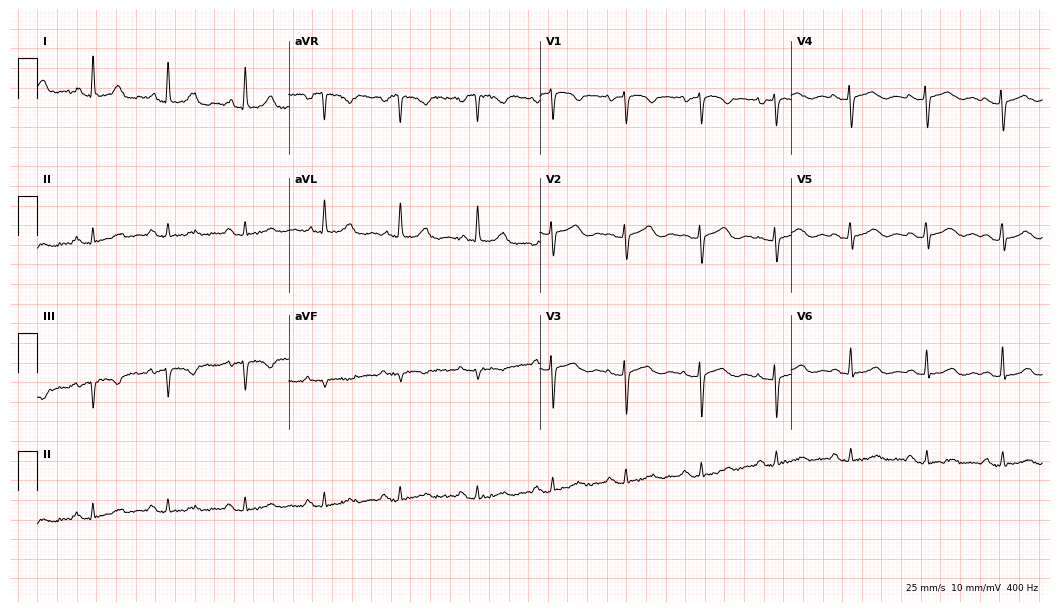
Standard 12-lead ECG recorded from a female, 73 years old (10.2-second recording at 400 Hz). None of these six findings is recorded: first-degree AV block, right bundle branch block, left bundle branch block, sinus bradycardia, atrial fibrillation, sinus tachycardia. Other findings, if any, are not listed.